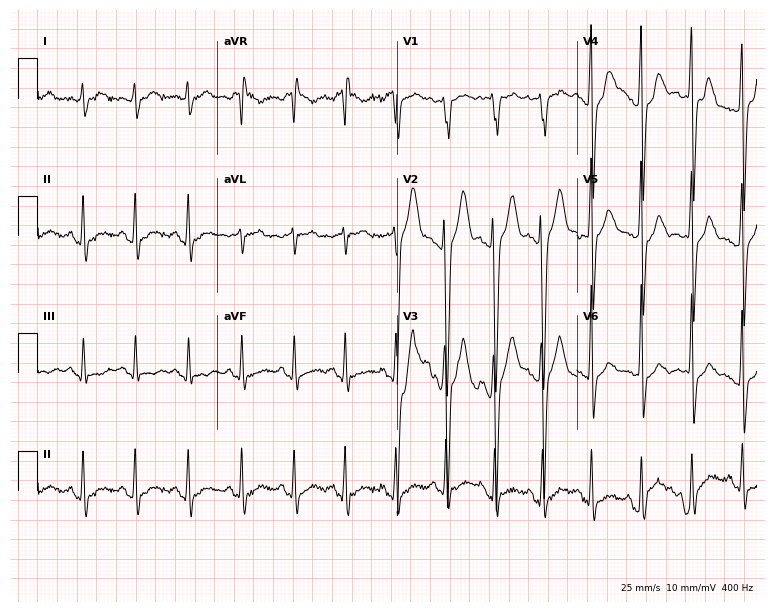
Resting 12-lead electrocardiogram (7.3-second recording at 400 Hz). Patient: a 25-year-old male. None of these six findings is recorded: first-degree AV block, right bundle branch block, left bundle branch block, sinus bradycardia, atrial fibrillation, sinus tachycardia. Other findings, if any, are not listed.